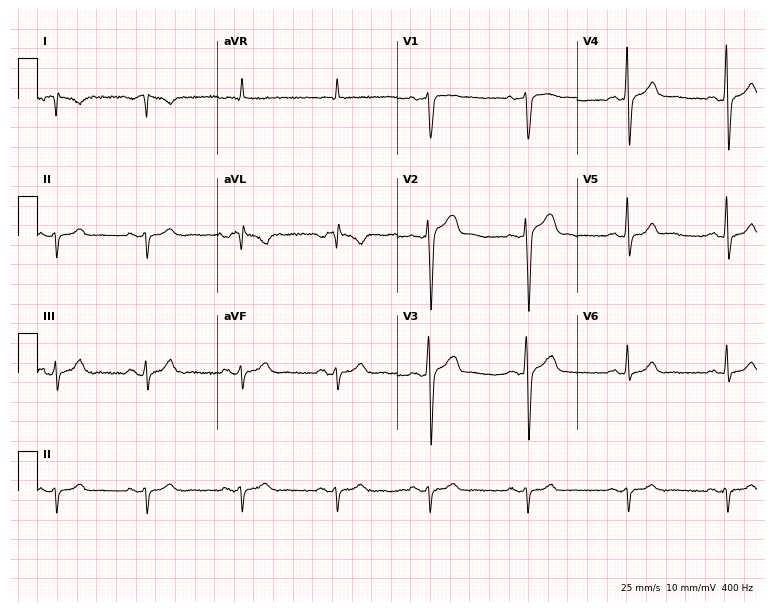
Standard 12-lead ECG recorded from a male, 32 years old. None of these six findings is recorded: first-degree AV block, right bundle branch block, left bundle branch block, sinus bradycardia, atrial fibrillation, sinus tachycardia. Findings outside these six are not listed.